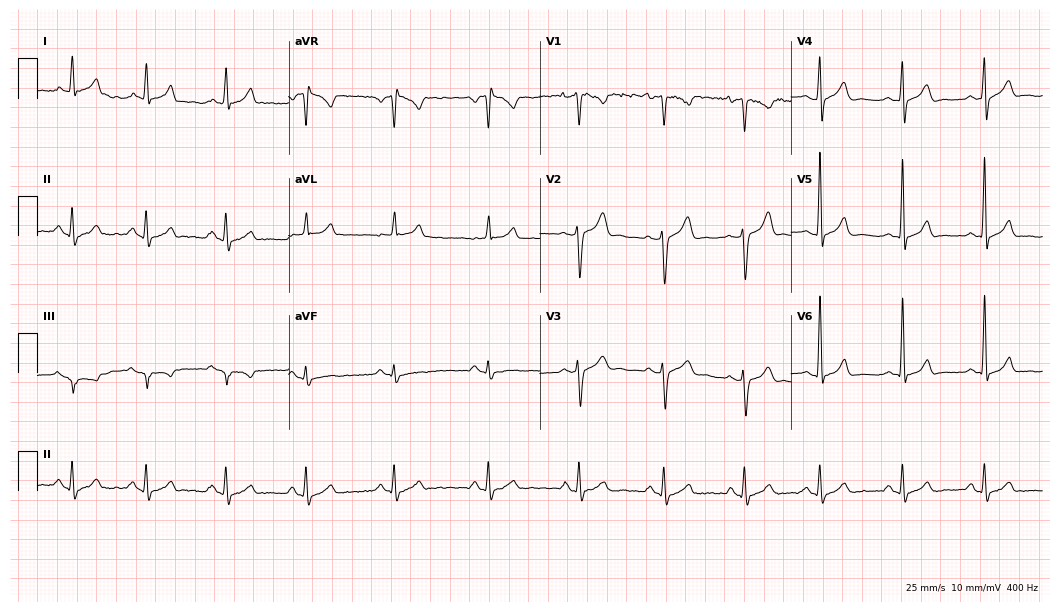
ECG (10.2-second recording at 400 Hz) — a 36-year-old male patient. Labelled as a normal ECG.